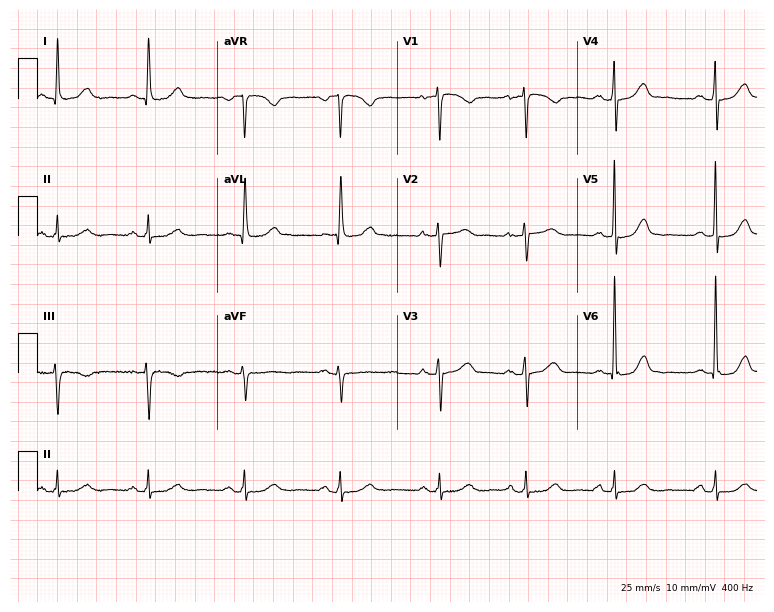
Electrocardiogram (7.3-second recording at 400 Hz), a 61-year-old male. Overall reading on record: normal ECG.